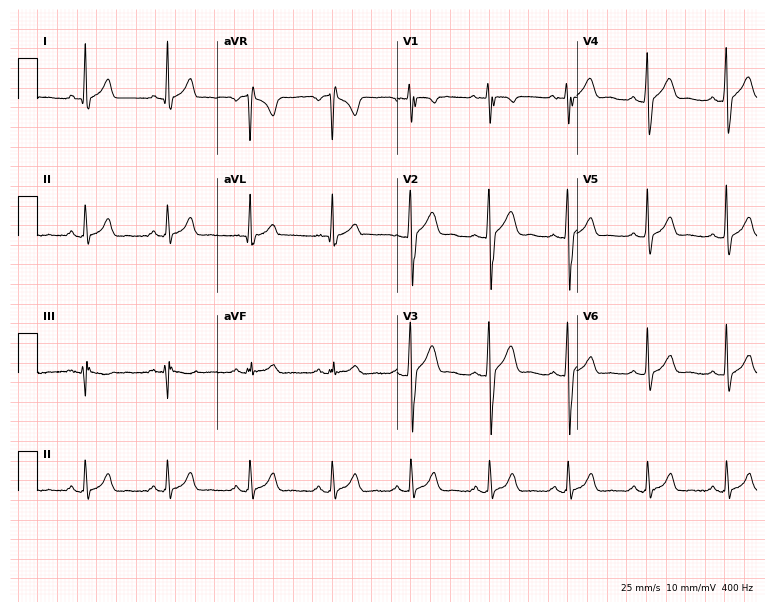
ECG — a 36-year-old male patient. Screened for six findings — first-degree AV block, right bundle branch block, left bundle branch block, sinus bradycardia, atrial fibrillation, sinus tachycardia — none is recorded.